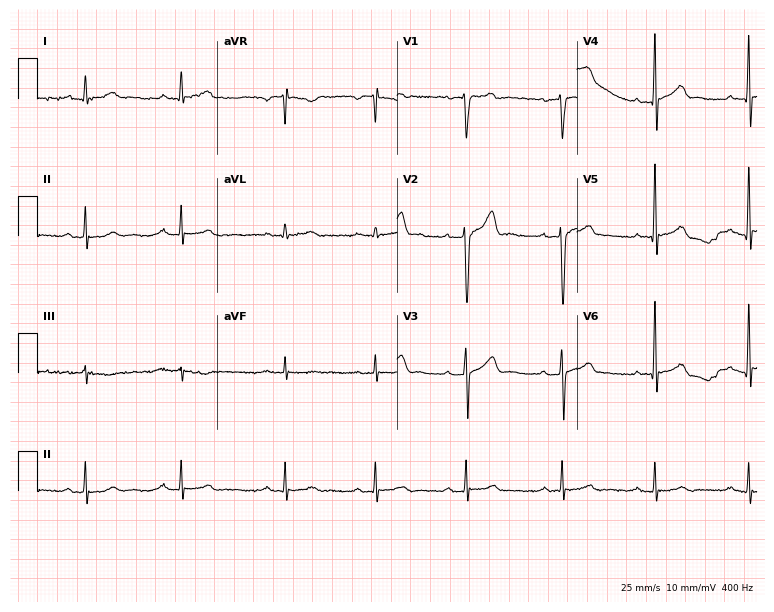
ECG — a 32-year-old man. Labelled as a normal ECG.